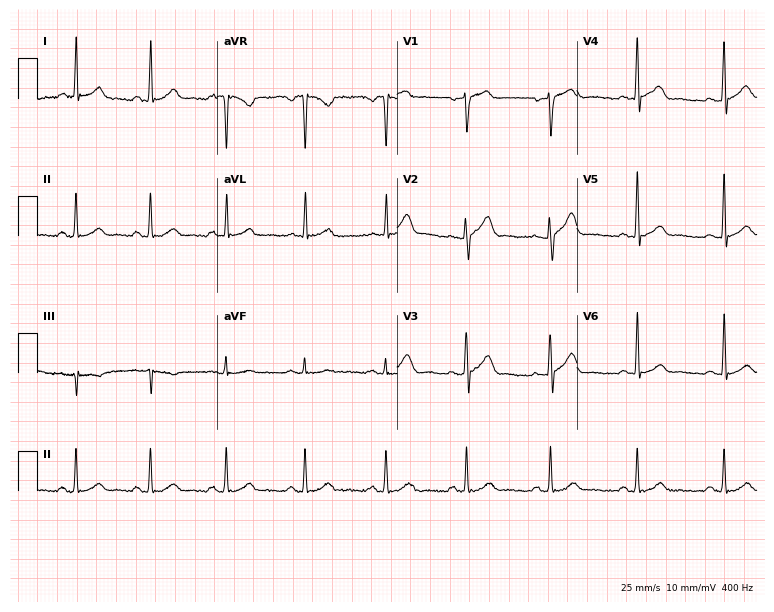
ECG (7.3-second recording at 400 Hz) — a male patient, 34 years old. Labelled as a normal ECG.